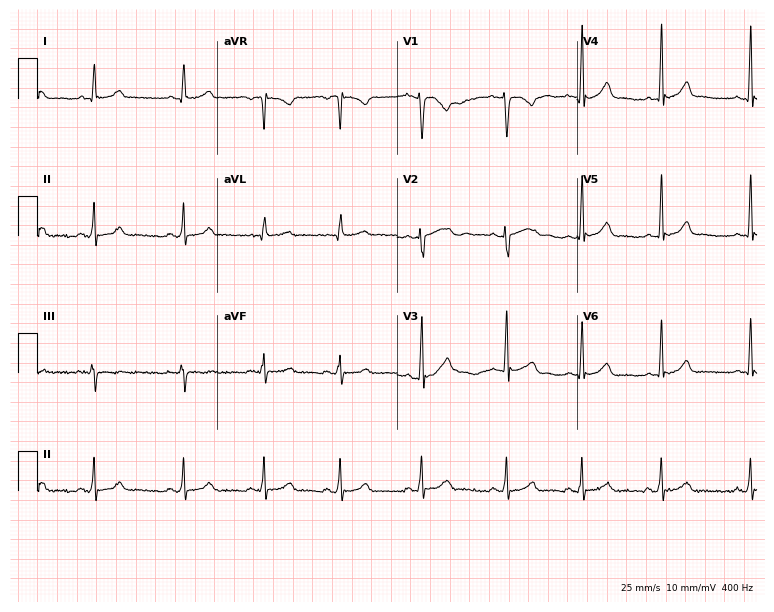
ECG — a female patient, 18 years old. Labelled as a normal ECG.